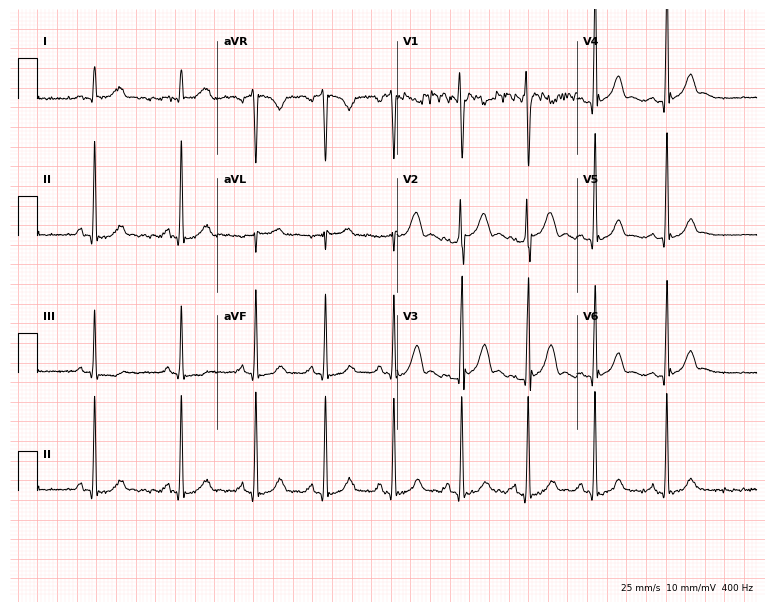
Resting 12-lead electrocardiogram. Patient: a 24-year-old male. None of these six findings is recorded: first-degree AV block, right bundle branch block, left bundle branch block, sinus bradycardia, atrial fibrillation, sinus tachycardia.